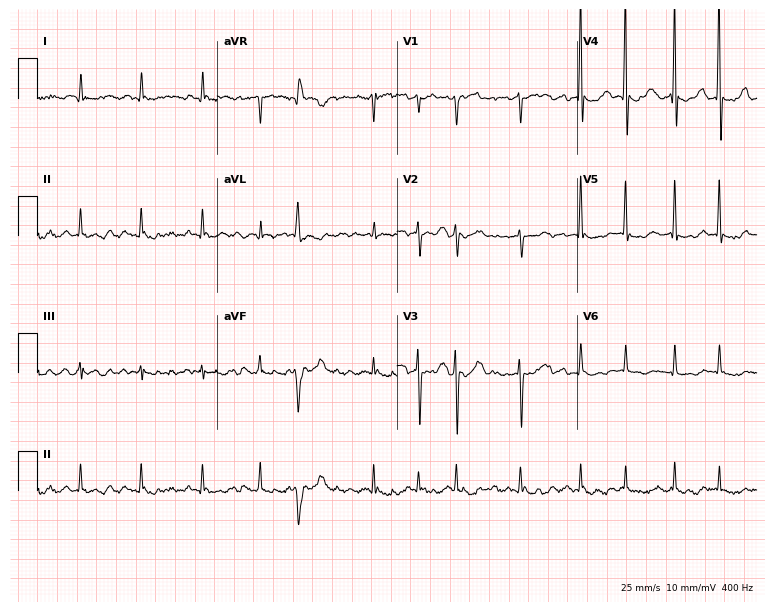
12-lead ECG from a 59-year-old man. Screened for six findings — first-degree AV block, right bundle branch block (RBBB), left bundle branch block (LBBB), sinus bradycardia, atrial fibrillation (AF), sinus tachycardia — none is recorded.